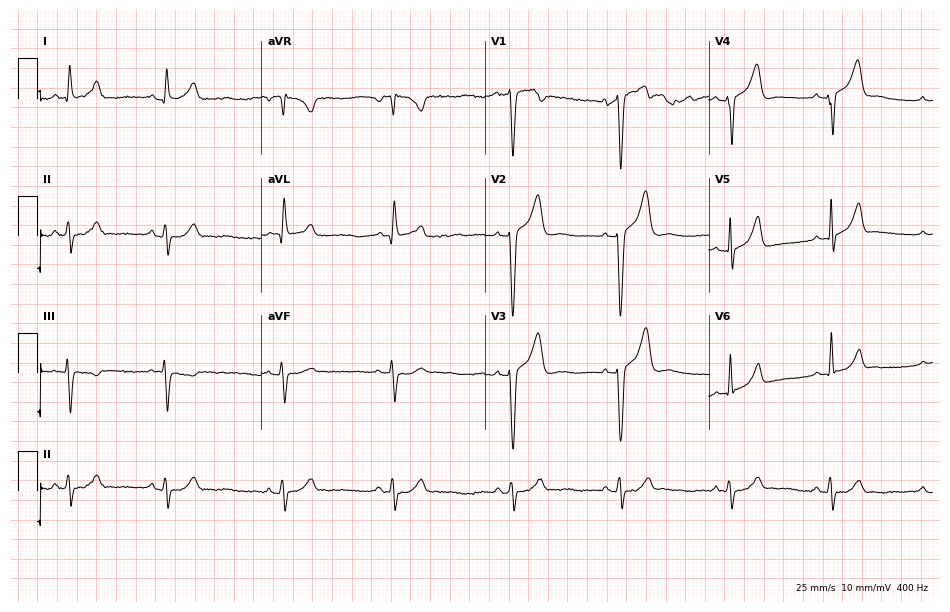
12-lead ECG from a 43-year-old male patient (9.1-second recording at 400 Hz). No first-degree AV block, right bundle branch block (RBBB), left bundle branch block (LBBB), sinus bradycardia, atrial fibrillation (AF) or sinus tachycardia recorded for this tracing.